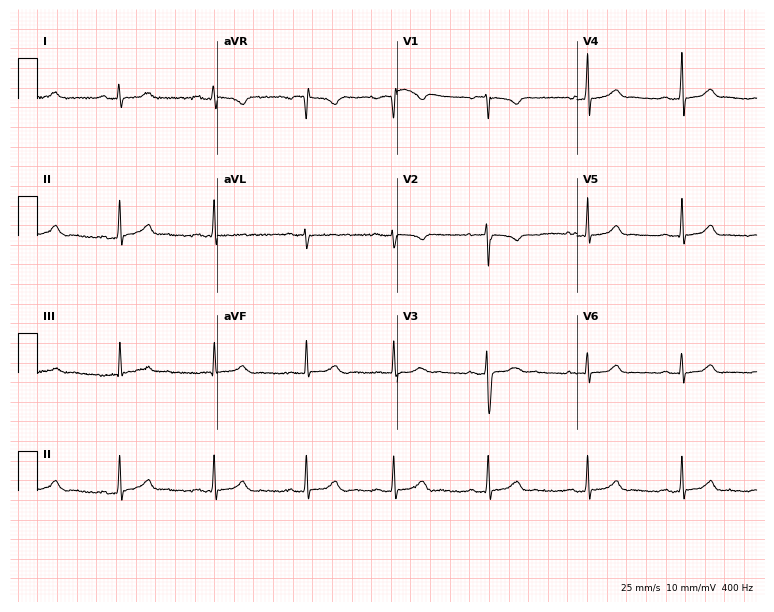
Resting 12-lead electrocardiogram (7.3-second recording at 400 Hz). Patient: a 17-year-old female. Read as a normal ECG.